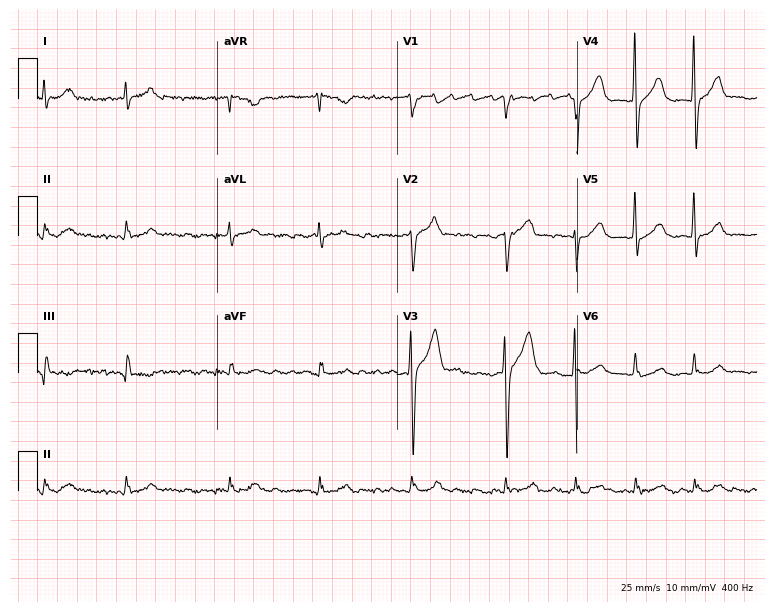
Electrocardiogram, a male patient, 56 years old. Interpretation includes atrial fibrillation.